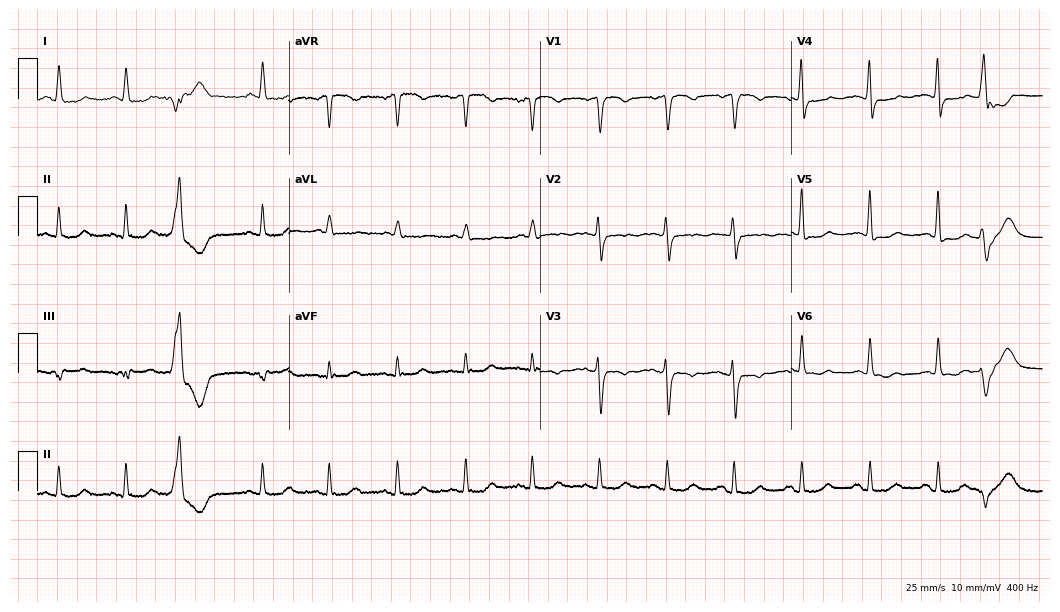
ECG — a 79-year-old woman. Screened for six findings — first-degree AV block, right bundle branch block (RBBB), left bundle branch block (LBBB), sinus bradycardia, atrial fibrillation (AF), sinus tachycardia — none is recorded. Only these six findings were labelled.